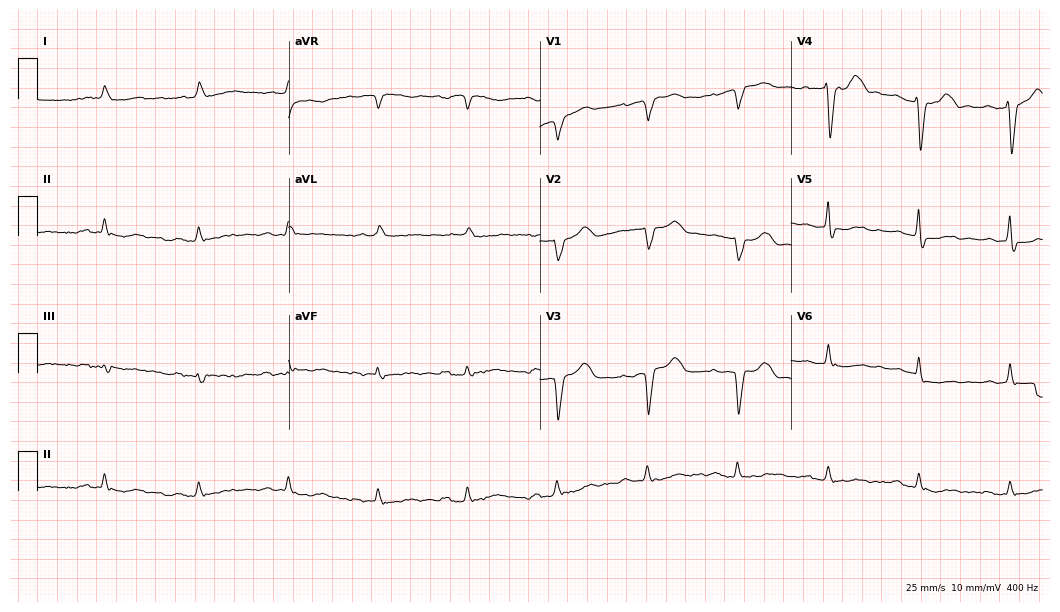
12-lead ECG from a 70-year-old woman. No first-degree AV block, right bundle branch block (RBBB), left bundle branch block (LBBB), sinus bradycardia, atrial fibrillation (AF) or sinus tachycardia recorded for this tracing.